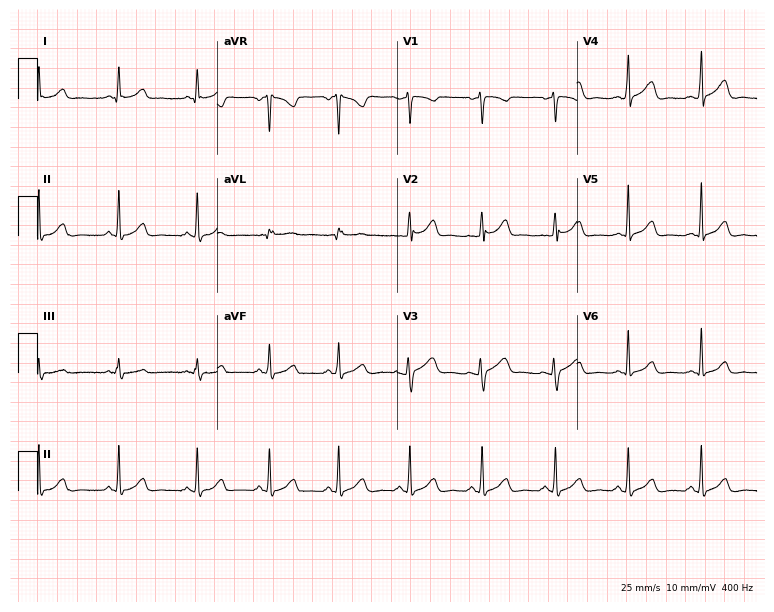
12-lead ECG (7.3-second recording at 400 Hz) from a female patient, 49 years old. Labelled as a normal ECG.